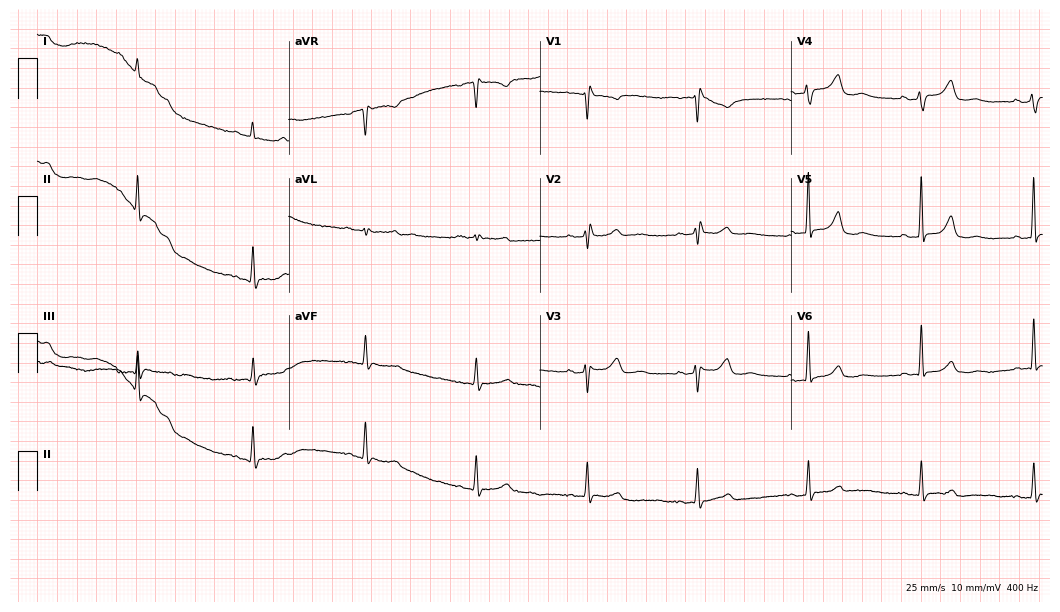
Resting 12-lead electrocardiogram (10.2-second recording at 400 Hz). Patient: a woman, 50 years old. None of these six findings is recorded: first-degree AV block, right bundle branch block, left bundle branch block, sinus bradycardia, atrial fibrillation, sinus tachycardia.